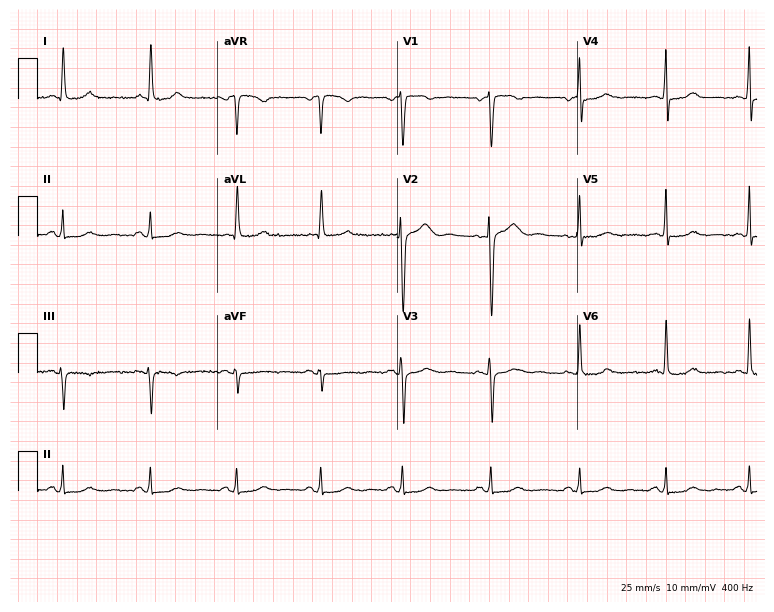
Standard 12-lead ECG recorded from a 65-year-old female. None of these six findings is recorded: first-degree AV block, right bundle branch block, left bundle branch block, sinus bradycardia, atrial fibrillation, sinus tachycardia. Other findings, if any, are not listed.